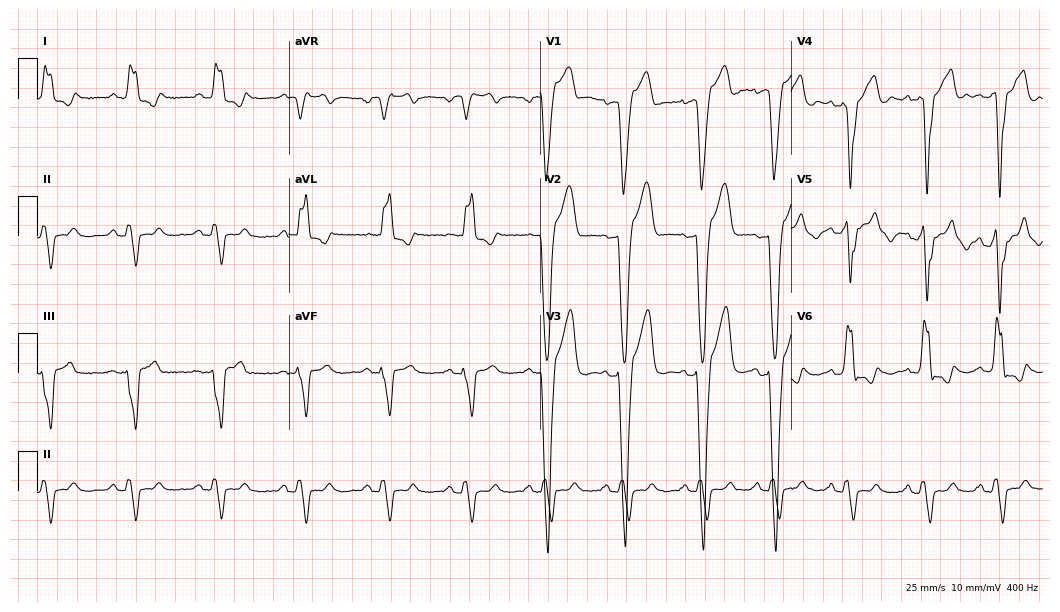
Resting 12-lead electrocardiogram. Patient: a 53-year-old male. The tracing shows left bundle branch block.